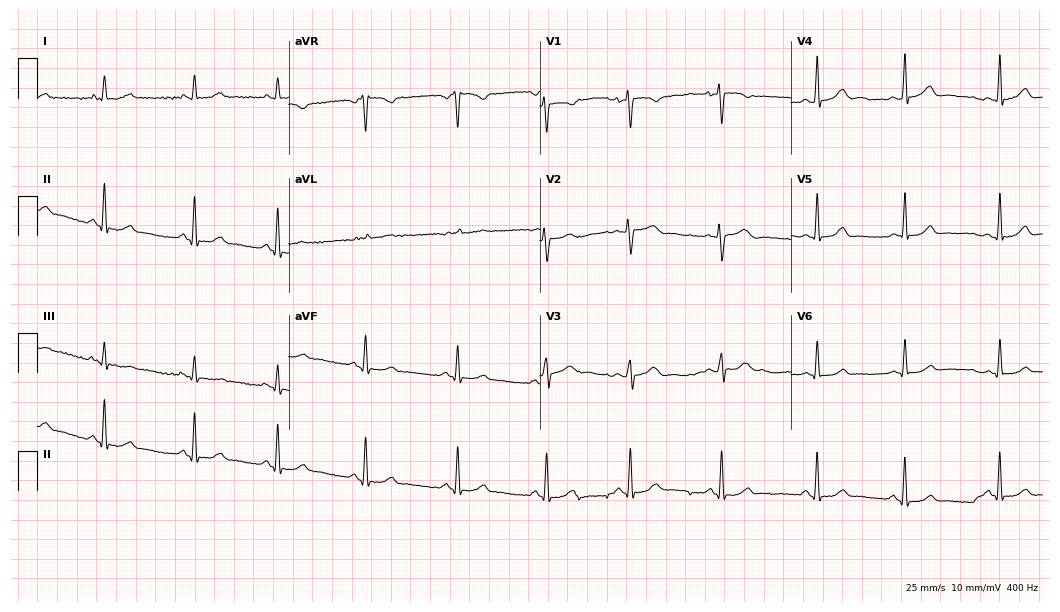
Resting 12-lead electrocardiogram. Patient: a 27-year-old female. Read as a normal ECG.